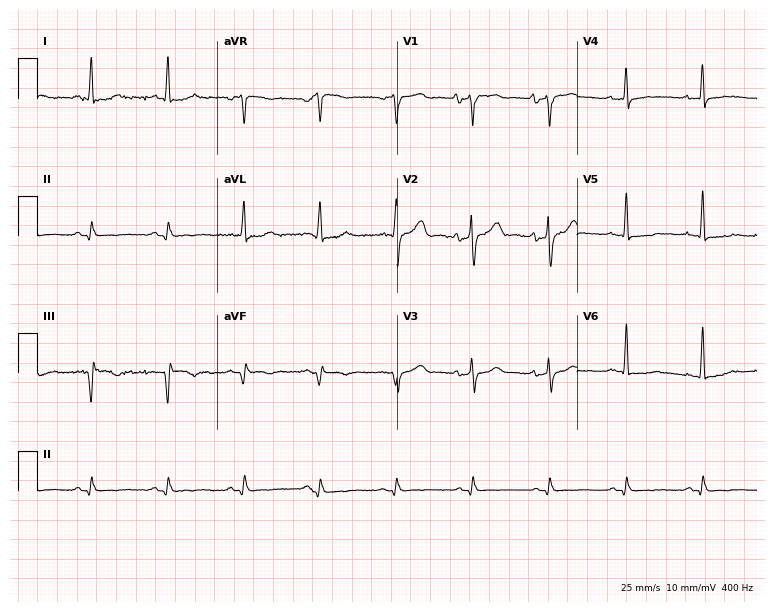
Standard 12-lead ECG recorded from a male patient, 74 years old. None of these six findings is recorded: first-degree AV block, right bundle branch block, left bundle branch block, sinus bradycardia, atrial fibrillation, sinus tachycardia.